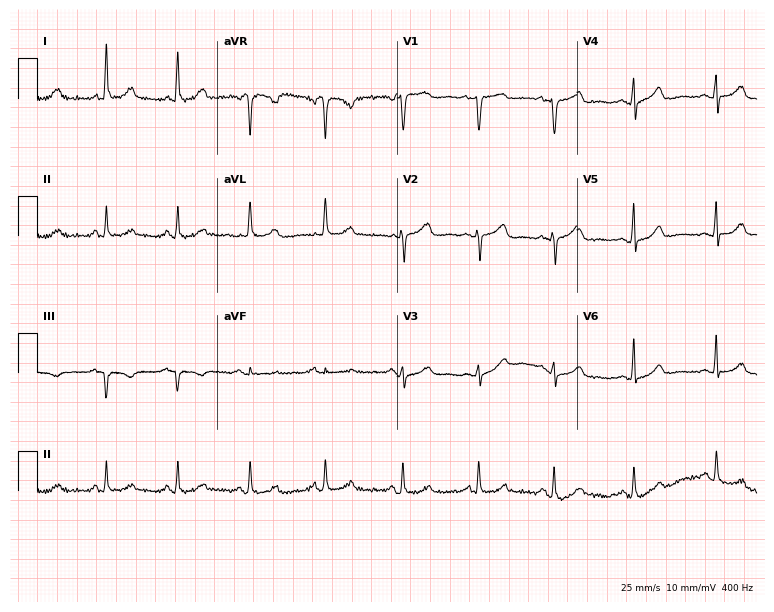
Resting 12-lead electrocardiogram. Patient: a female, 63 years old. None of these six findings is recorded: first-degree AV block, right bundle branch block, left bundle branch block, sinus bradycardia, atrial fibrillation, sinus tachycardia. Findings outside these six are not listed.